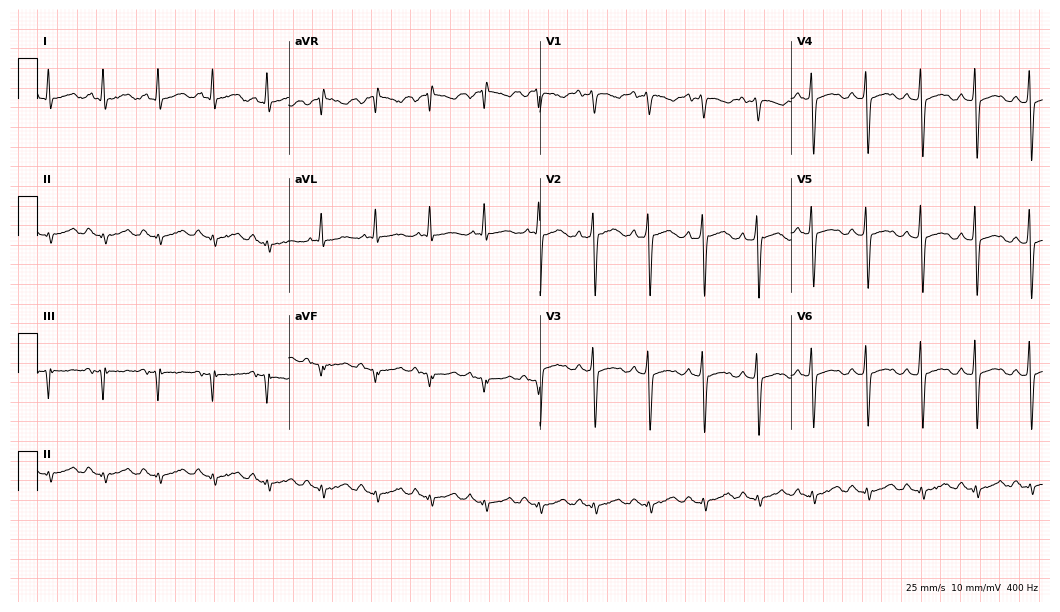
12-lead ECG from a 49-year-old man (10.2-second recording at 400 Hz). Shows sinus tachycardia (a sinus rate of 100 beats per minute or more).